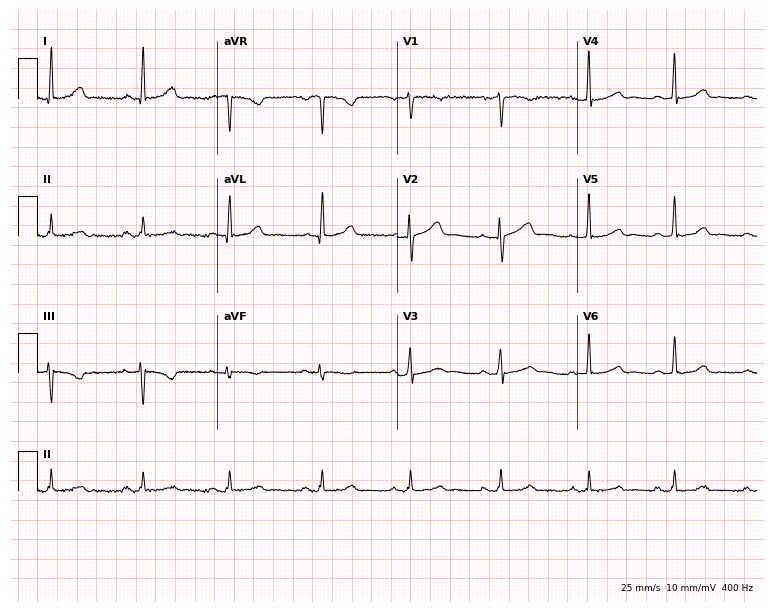
Electrocardiogram, a female, 51 years old. Overall reading on record: normal ECG.